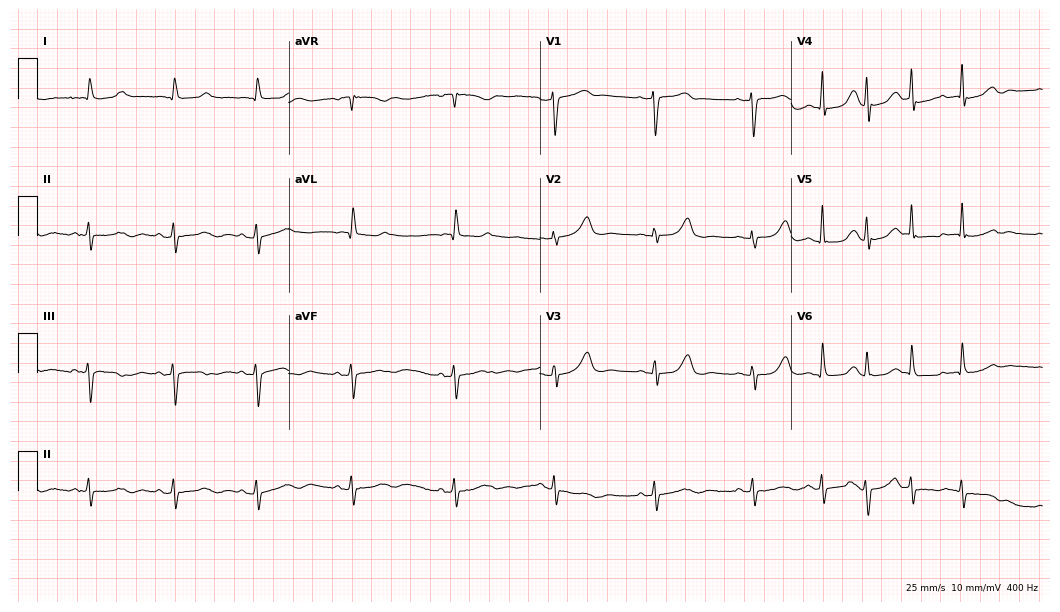
Standard 12-lead ECG recorded from a female, 83 years old. None of these six findings is recorded: first-degree AV block, right bundle branch block, left bundle branch block, sinus bradycardia, atrial fibrillation, sinus tachycardia.